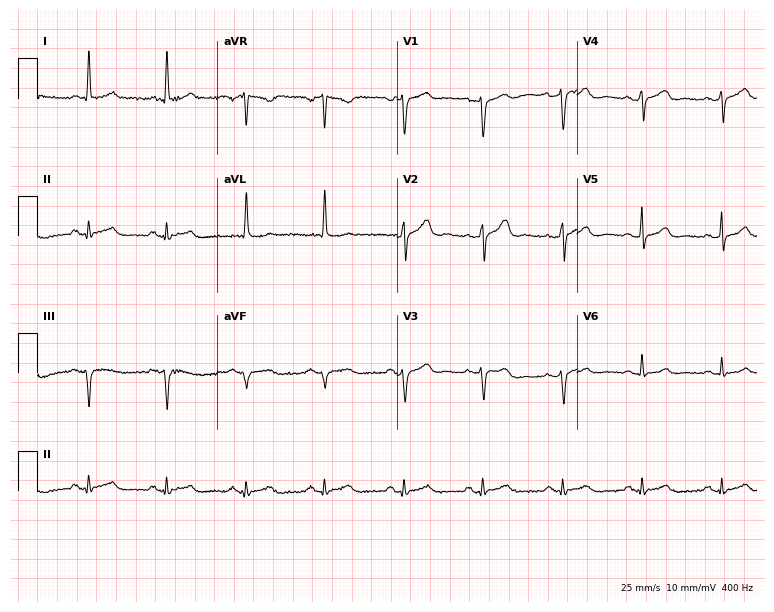
12-lead ECG (7.3-second recording at 400 Hz) from a woman, 69 years old. Screened for six findings — first-degree AV block, right bundle branch block, left bundle branch block, sinus bradycardia, atrial fibrillation, sinus tachycardia — none is recorded.